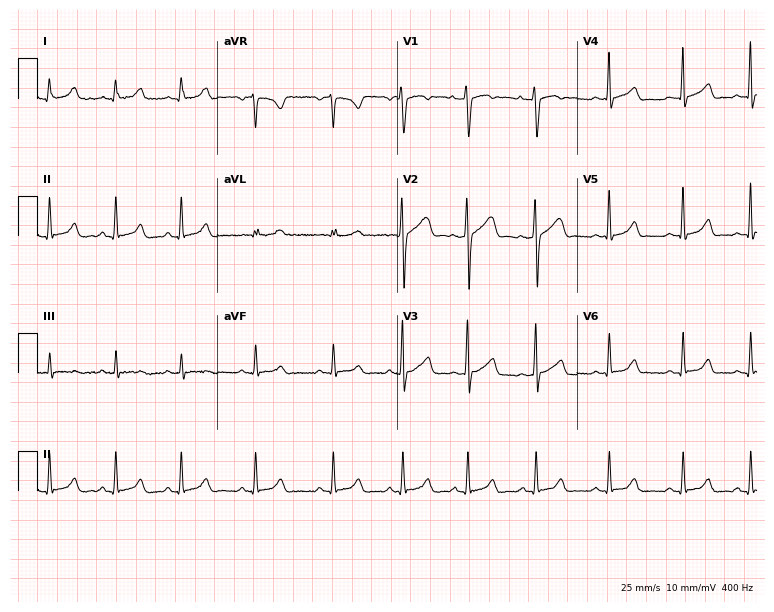
Resting 12-lead electrocardiogram (7.3-second recording at 400 Hz). Patient: an 18-year-old female. None of these six findings is recorded: first-degree AV block, right bundle branch block, left bundle branch block, sinus bradycardia, atrial fibrillation, sinus tachycardia.